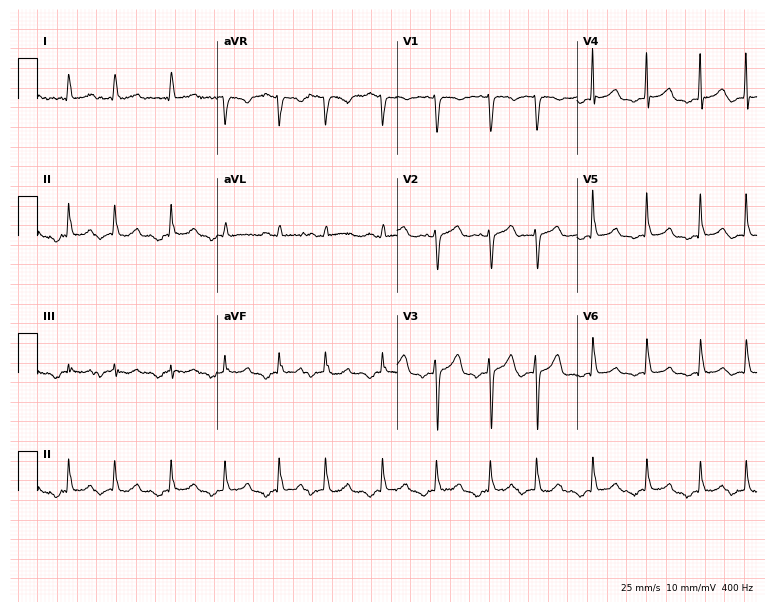
Standard 12-lead ECG recorded from a woman, 80 years old (7.3-second recording at 400 Hz). None of these six findings is recorded: first-degree AV block, right bundle branch block, left bundle branch block, sinus bradycardia, atrial fibrillation, sinus tachycardia. Findings outside these six are not listed.